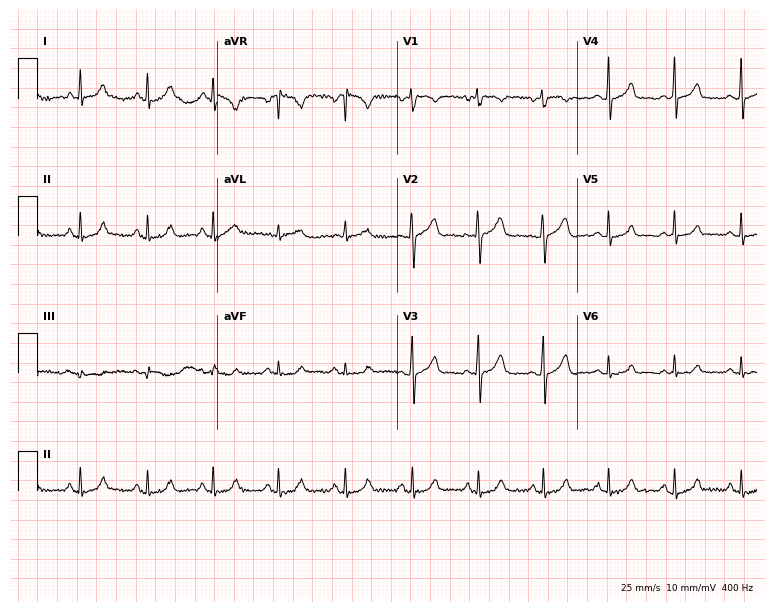
Resting 12-lead electrocardiogram. Patient: a 44-year-old woman. None of these six findings is recorded: first-degree AV block, right bundle branch block, left bundle branch block, sinus bradycardia, atrial fibrillation, sinus tachycardia. Other findings, if any, are not listed.